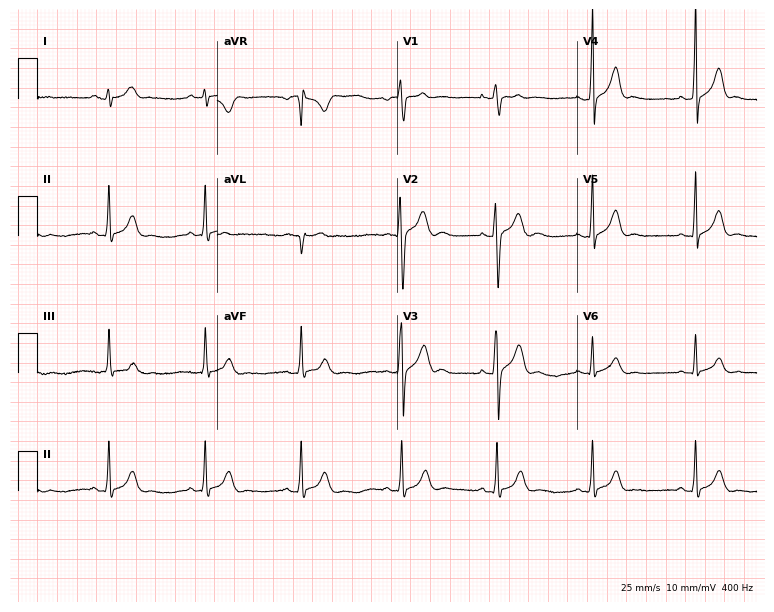
12-lead ECG (7.3-second recording at 400 Hz) from a man, 17 years old. Screened for six findings — first-degree AV block, right bundle branch block (RBBB), left bundle branch block (LBBB), sinus bradycardia, atrial fibrillation (AF), sinus tachycardia — none is recorded.